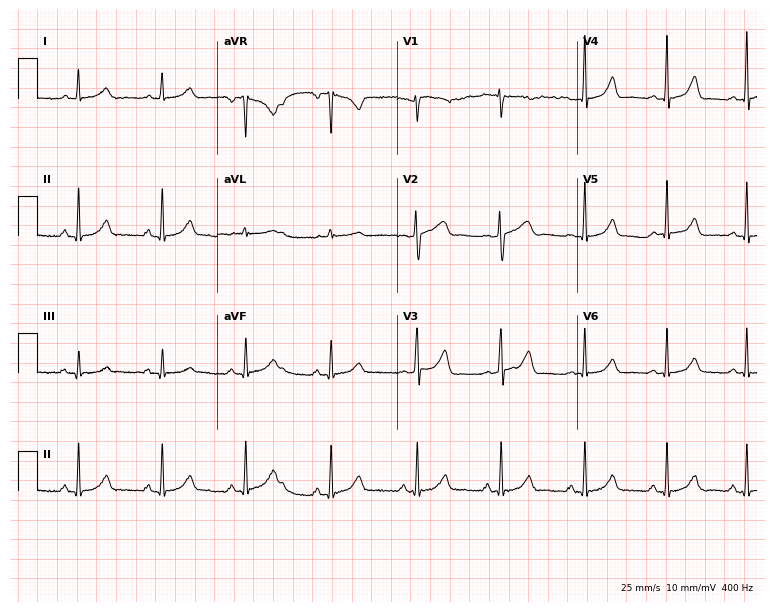
ECG — a 33-year-old female. Labelled as a normal ECG.